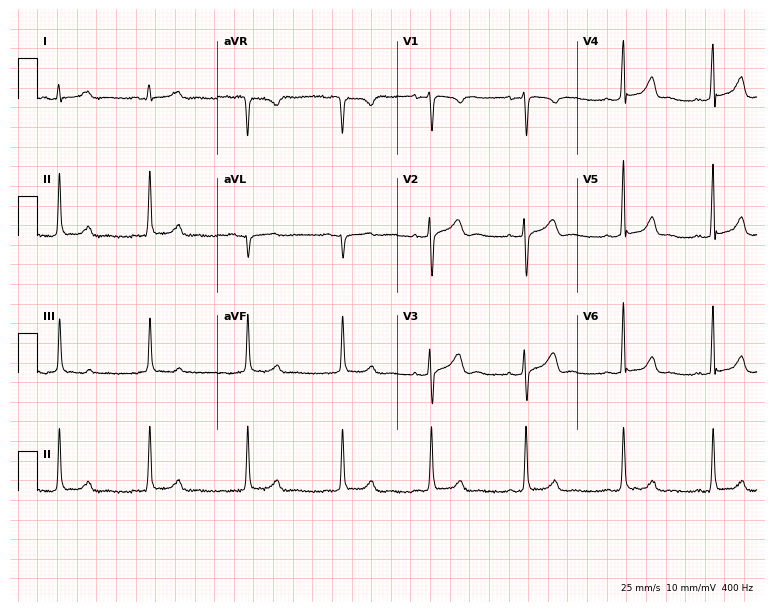
12-lead ECG (7.3-second recording at 400 Hz) from a woman, 26 years old. Screened for six findings — first-degree AV block, right bundle branch block, left bundle branch block, sinus bradycardia, atrial fibrillation, sinus tachycardia — none is recorded.